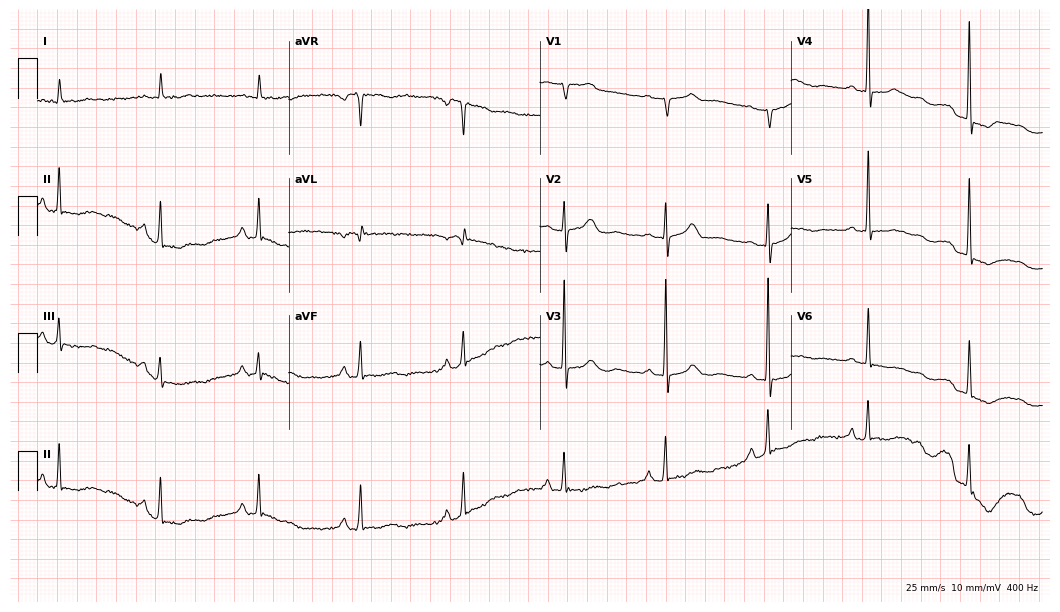
ECG (10.2-second recording at 400 Hz) — a female patient, 84 years old. Labelled as a normal ECG.